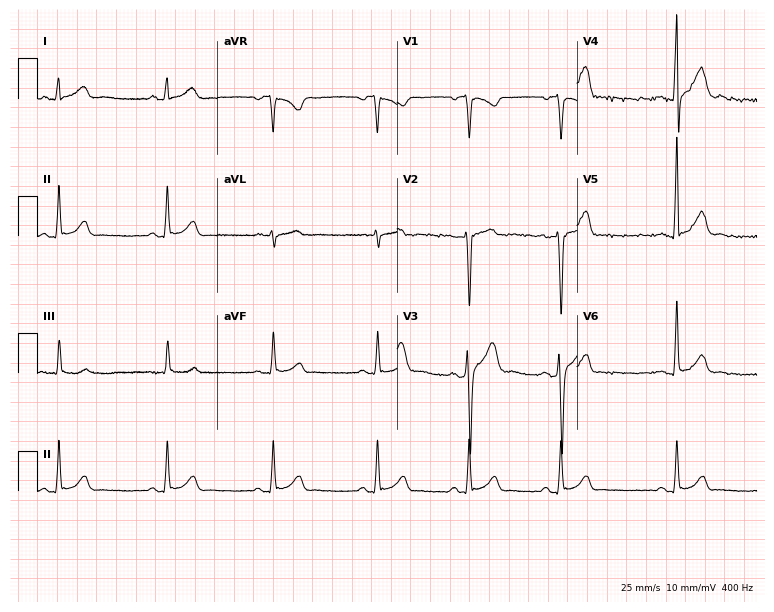
12-lead ECG from a 28-year-old male patient. Labelled as a normal ECG.